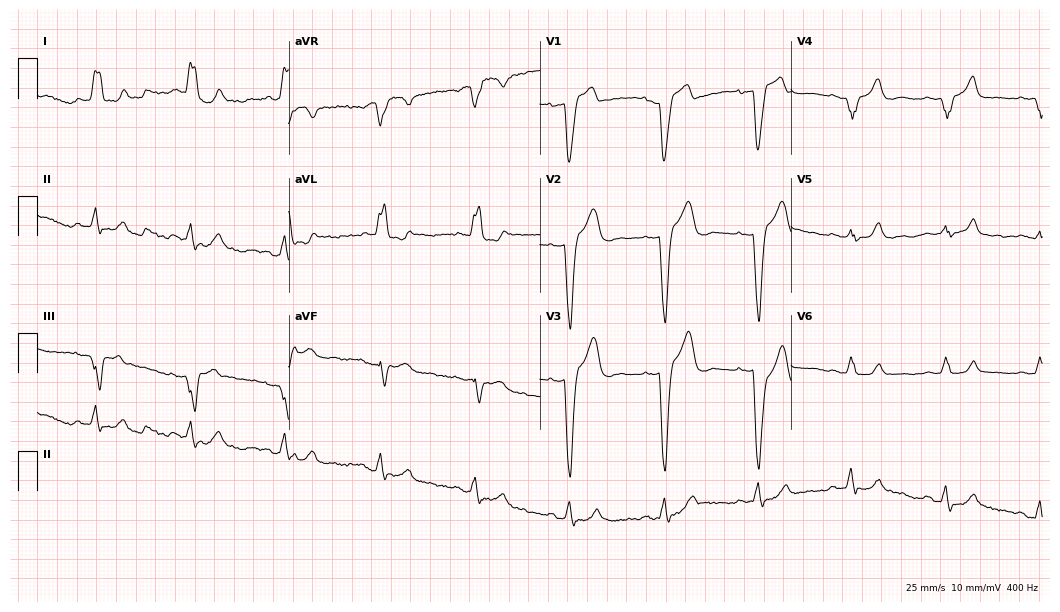
ECG (10.2-second recording at 400 Hz) — an 80-year-old female patient. Findings include left bundle branch block.